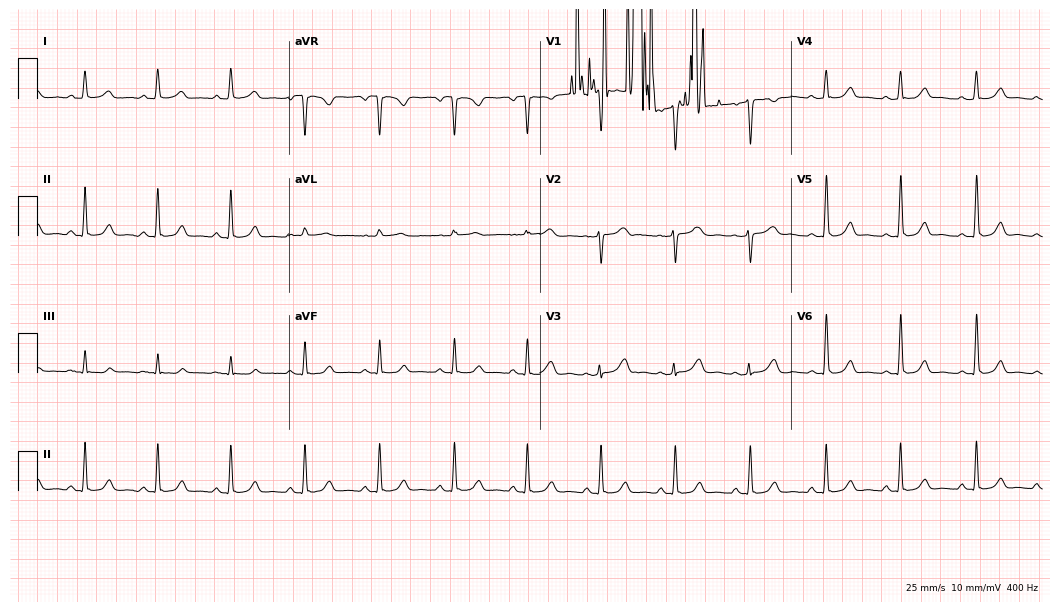
12-lead ECG from a 40-year-old woman. Screened for six findings — first-degree AV block, right bundle branch block, left bundle branch block, sinus bradycardia, atrial fibrillation, sinus tachycardia — none is recorded. Findings outside these six are not listed.